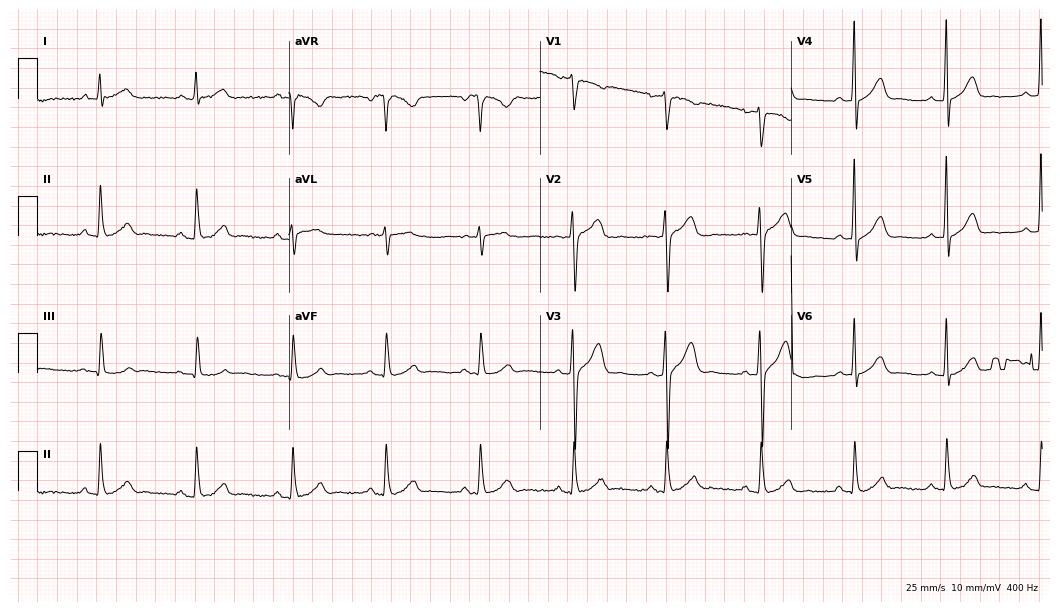
Resting 12-lead electrocardiogram. Patient: a 63-year-old male. Read as a normal ECG.